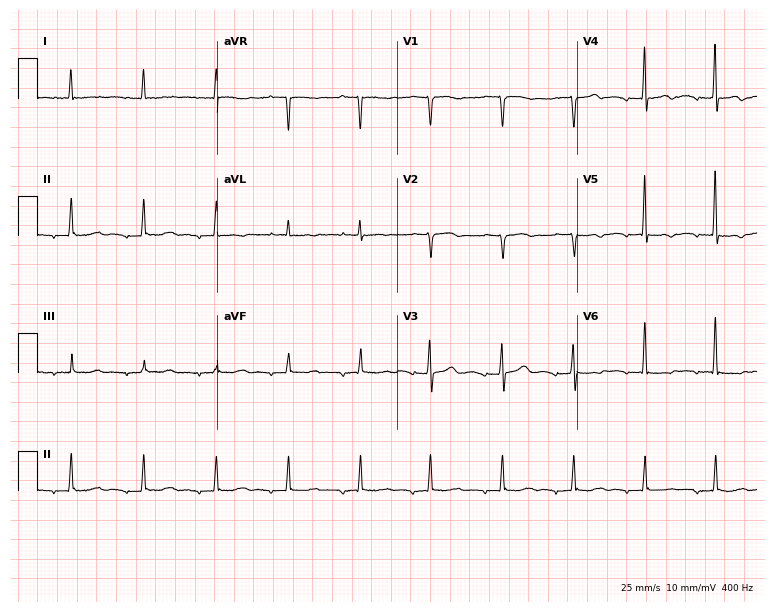
Standard 12-lead ECG recorded from a male, 75 years old (7.3-second recording at 400 Hz). None of these six findings is recorded: first-degree AV block, right bundle branch block, left bundle branch block, sinus bradycardia, atrial fibrillation, sinus tachycardia. Only these six findings were labelled.